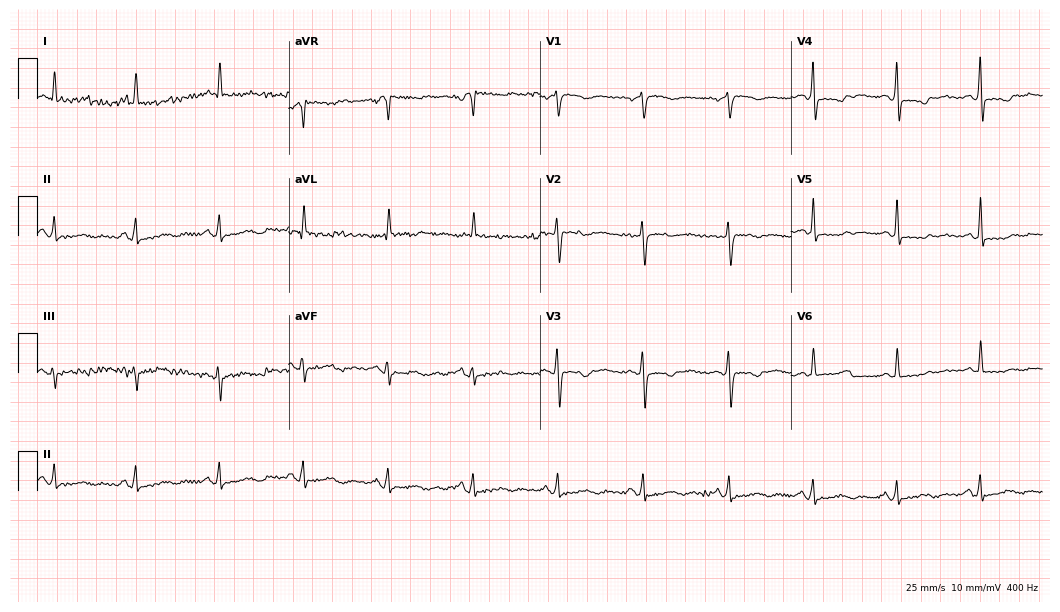
Resting 12-lead electrocardiogram. Patient: a 67-year-old woman. None of these six findings is recorded: first-degree AV block, right bundle branch block (RBBB), left bundle branch block (LBBB), sinus bradycardia, atrial fibrillation (AF), sinus tachycardia. Only these six findings were labelled.